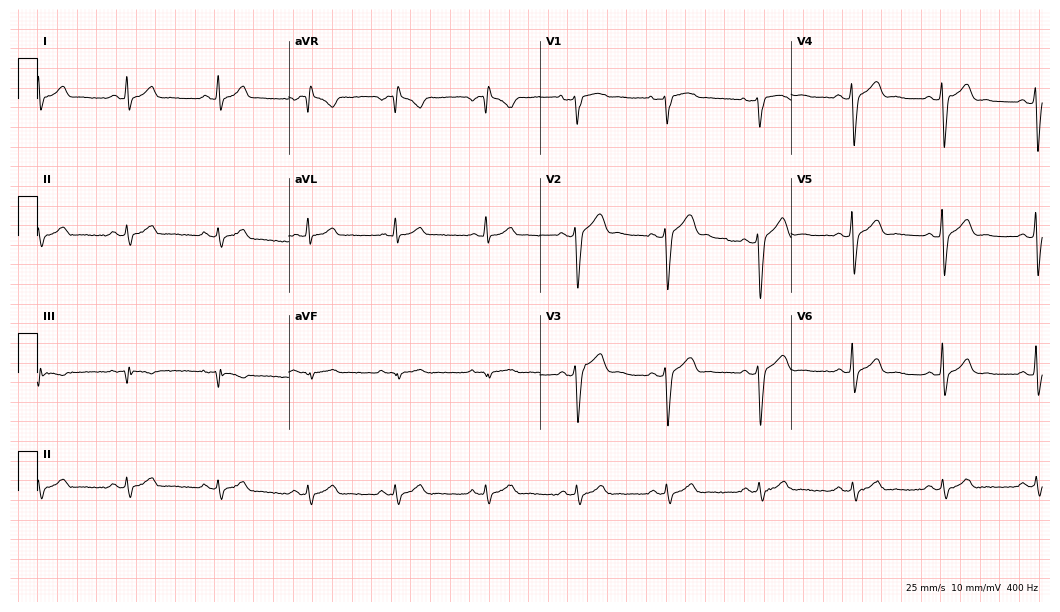
Electrocardiogram (10.2-second recording at 400 Hz), a 46-year-old male. Of the six screened findings (first-degree AV block, right bundle branch block (RBBB), left bundle branch block (LBBB), sinus bradycardia, atrial fibrillation (AF), sinus tachycardia), none is recorded.